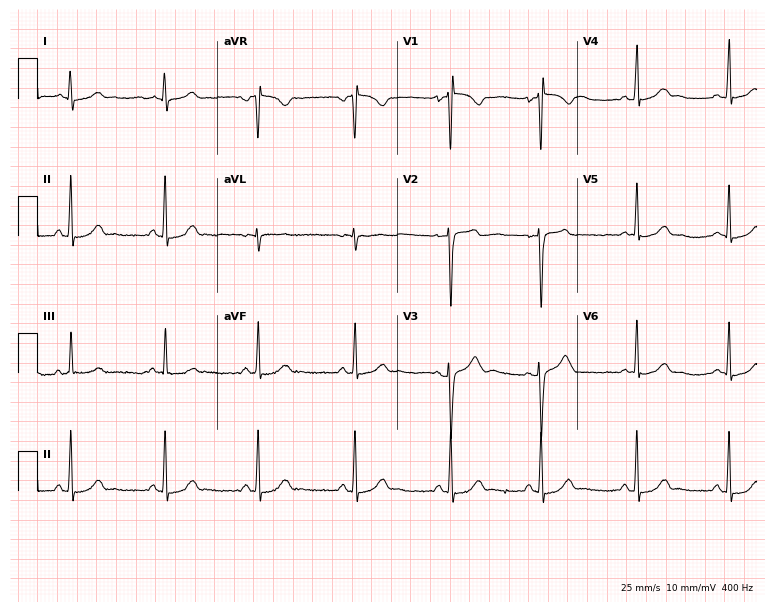
Resting 12-lead electrocardiogram (7.3-second recording at 400 Hz). Patient: a 19-year-old woman. Read as a normal ECG.